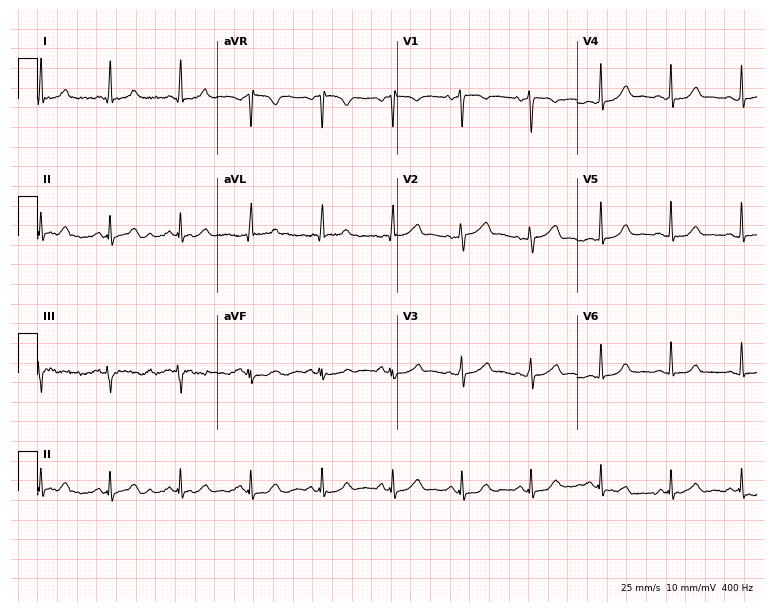
Electrocardiogram, a female patient, 49 years old. Overall reading on record: normal ECG.